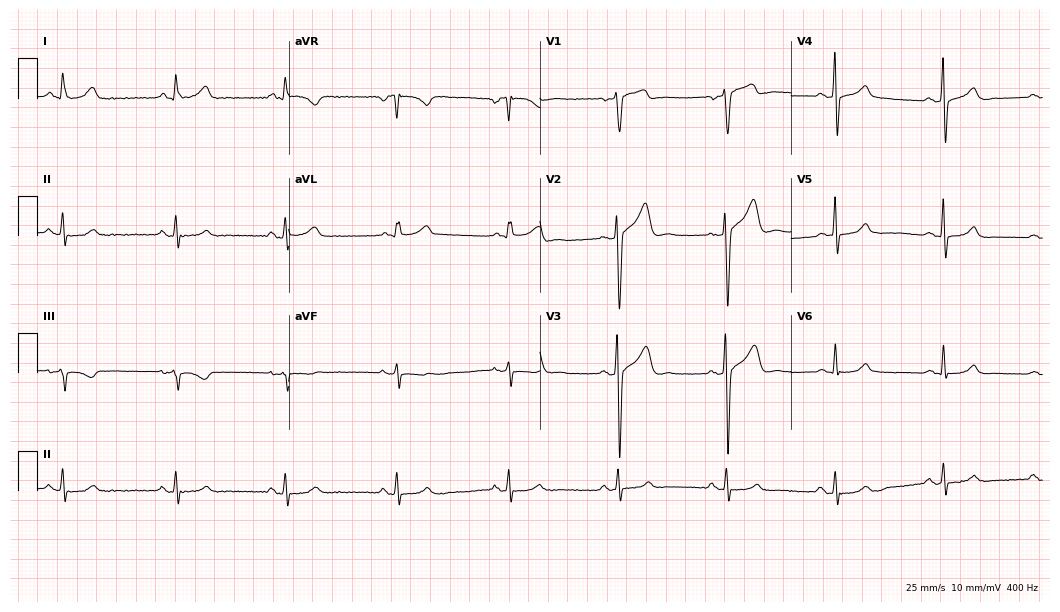
12-lead ECG from a 47-year-old man. Labelled as a normal ECG.